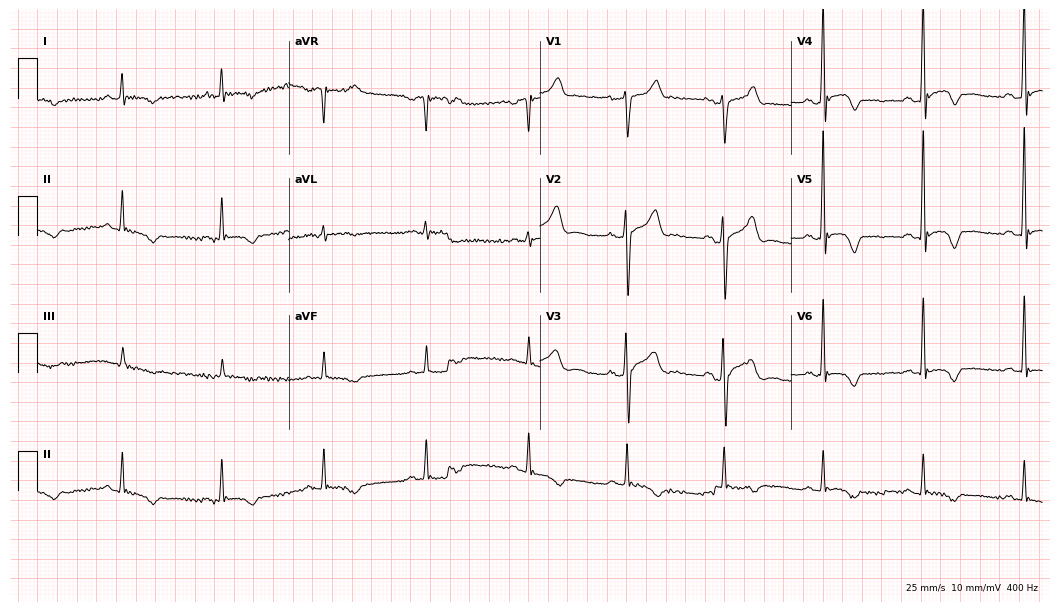
Resting 12-lead electrocardiogram (10.2-second recording at 400 Hz). Patient: a female, 50 years old. None of these six findings is recorded: first-degree AV block, right bundle branch block, left bundle branch block, sinus bradycardia, atrial fibrillation, sinus tachycardia.